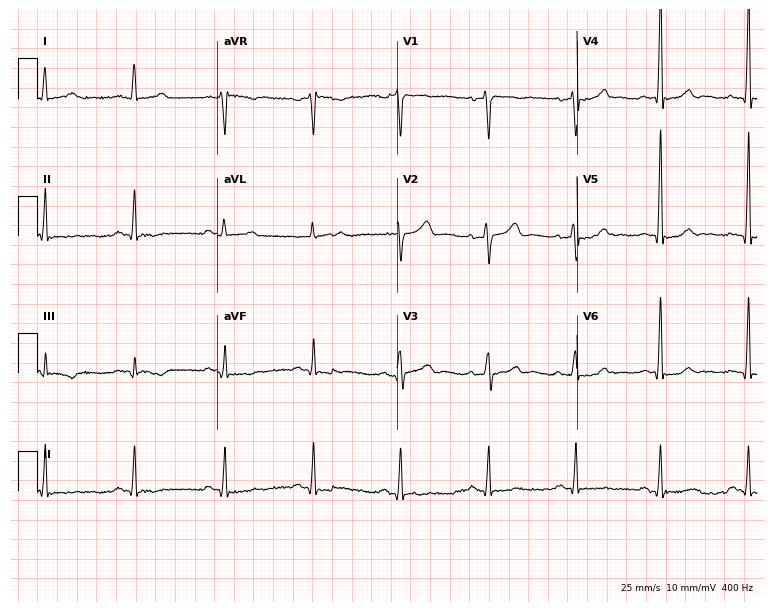
12-lead ECG (7.3-second recording at 400 Hz) from a man, 54 years old. Labelled as a normal ECG.